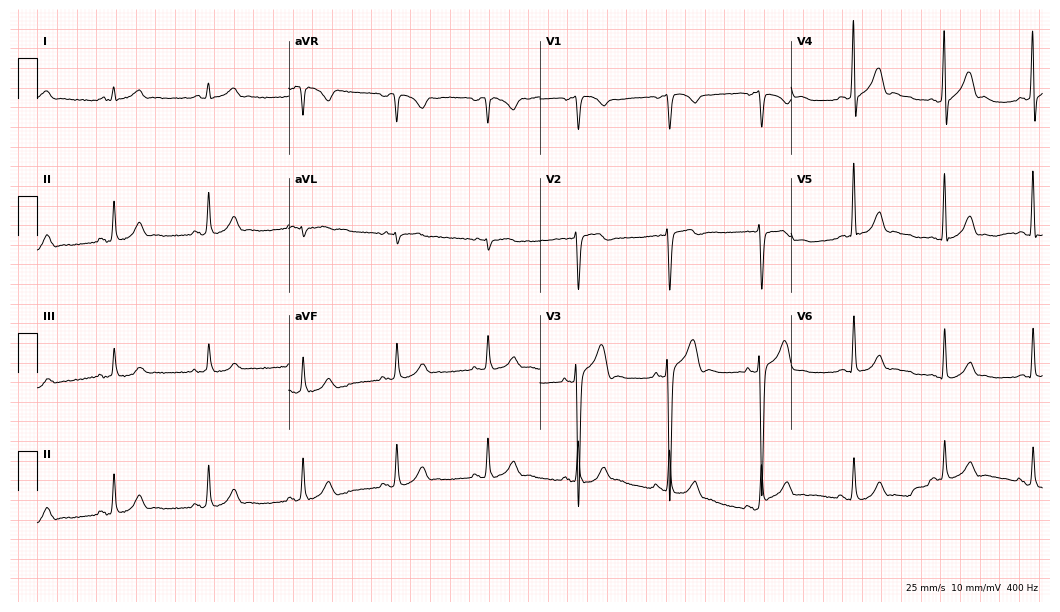
Standard 12-lead ECG recorded from a man, 44 years old (10.2-second recording at 400 Hz). Read as a normal ECG.